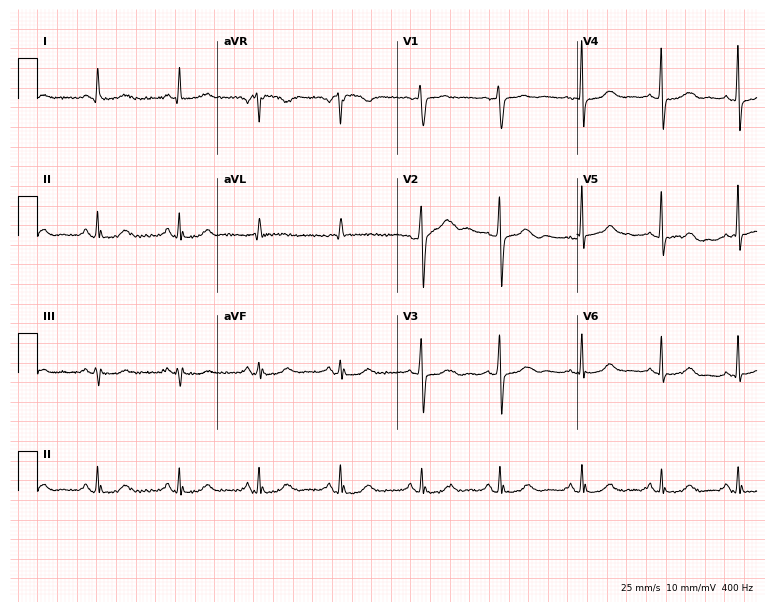
ECG — a 79-year-old woman. Screened for six findings — first-degree AV block, right bundle branch block, left bundle branch block, sinus bradycardia, atrial fibrillation, sinus tachycardia — none is recorded.